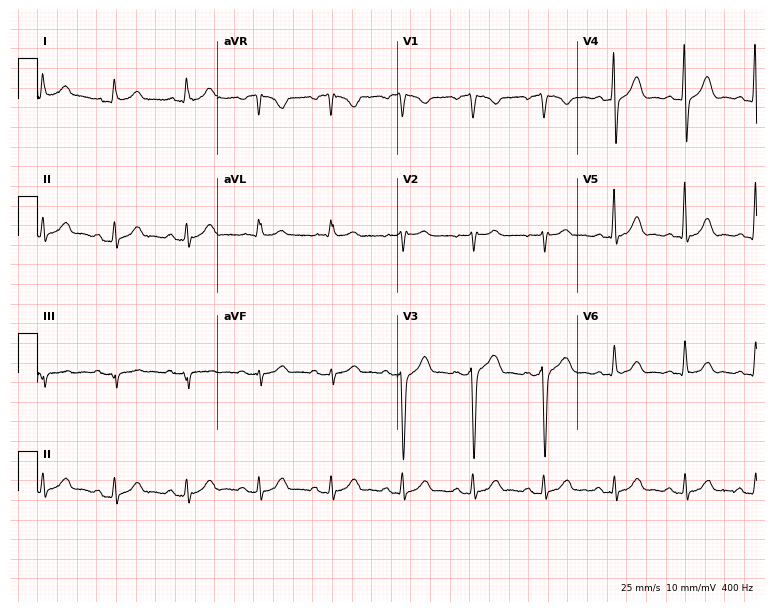
Standard 12-lead ECG recorded from a male patient, 57 years old. None of these six findings is recorded: first-degree AV block, right bundle branch block, left bundle branch block, sinus bradycardia, atrial fibrillation, sinus tachycardia. Only these six findings were labelled.